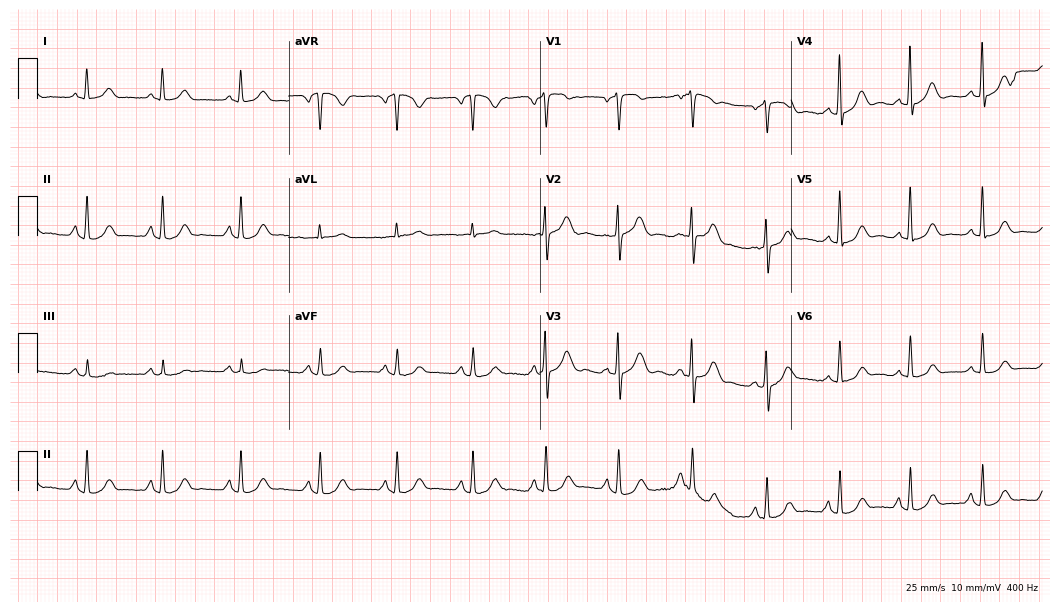
Electrocardiogram (10.2-second recording at 400 Hz), a 70-year-old female patient. Overall reading on record: normal ECG.